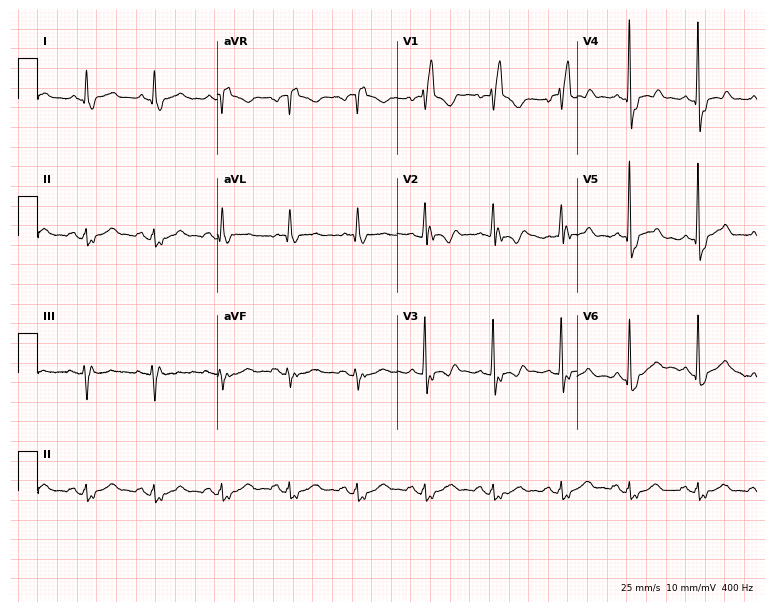
12-lead ECG from a 70-year-old male patient. Shows right bundle branch block (RBBB).